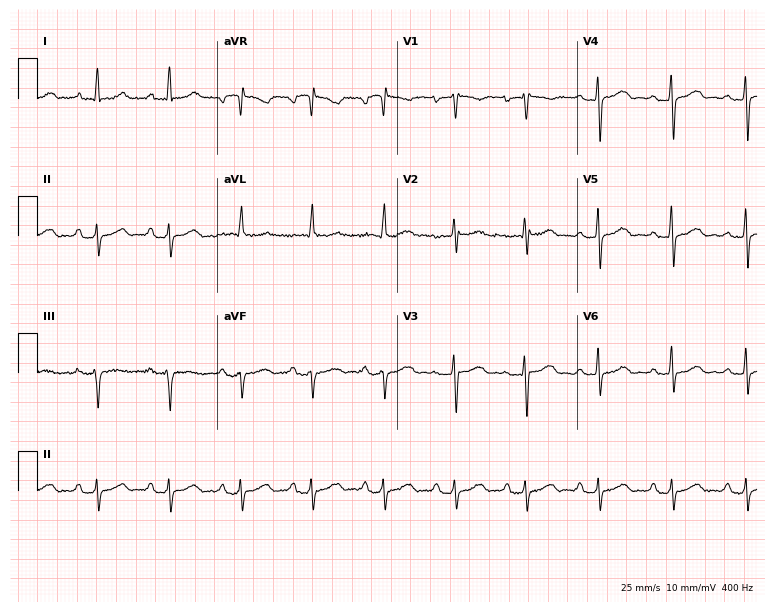
Electrocardiogram (7.3-second recording at 400 Hz), a female, 56 years old. Of the six screened findings (first-degree AV block, right bundle branch block (RBBB), left bundle branch block (LBBB), sinus bradycardia, atrial fibrillation (AF), sinus tachycardia), none is recorded.